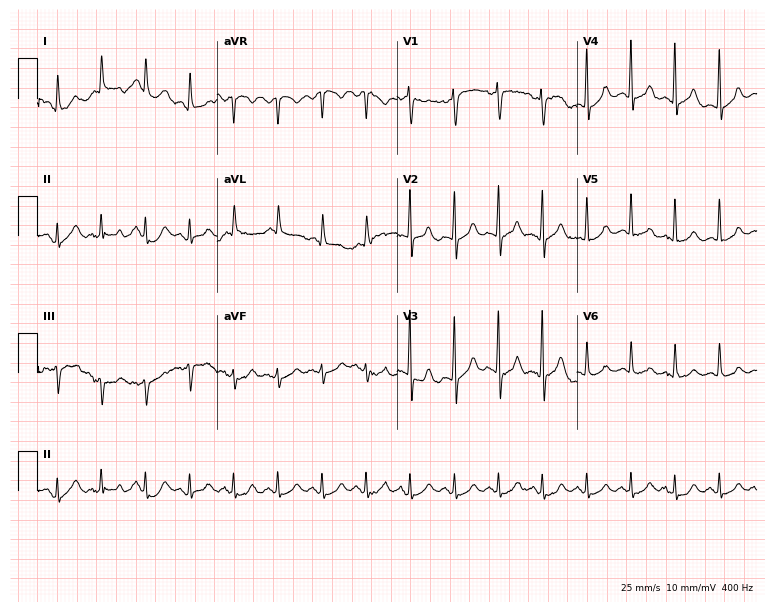
Resting 12-lead electrocardiogram (7.3-second recording at 400 Hz). Patient: a 59-year-old male. The tracing shows sinus tachycardia (a sinus rate of 100 beats per minute or more).